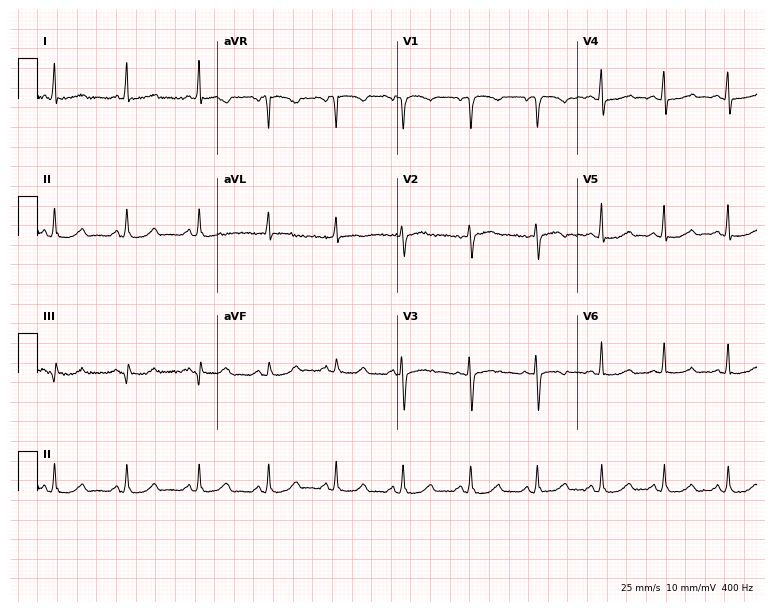
12-lead ECG from a 57-year-old woman (7.3-second recording at 400 Hz). Recorded interpretation: within normal limits.